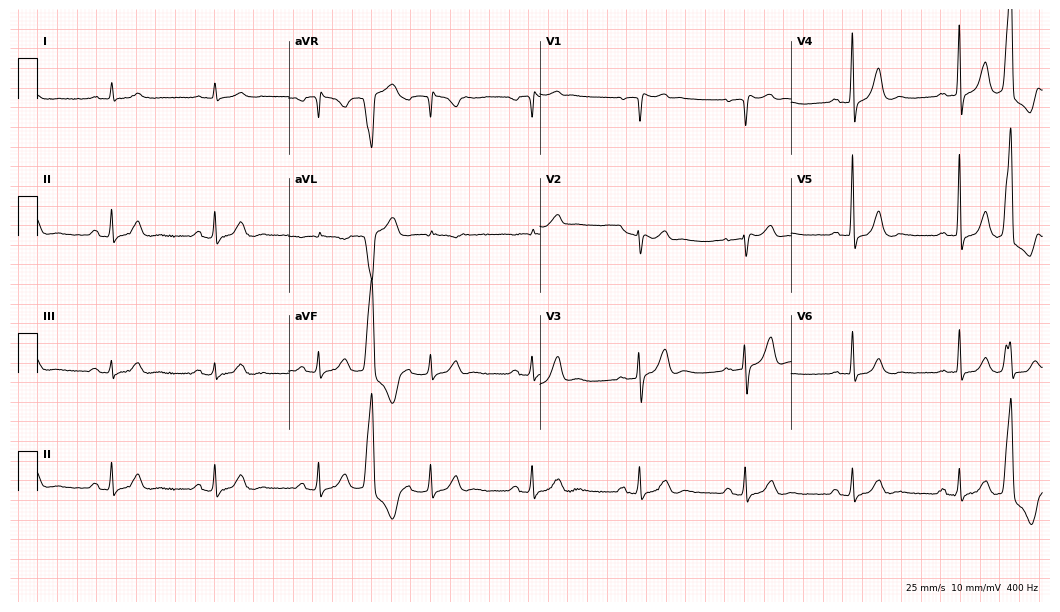
Standard 12-lead ECG recorded from a man, 75 years old. None of these six findings is recorded: first-degree AV block, right bundle branch block (RBBB), left bundle branch block (LBBB), sinus bradycardia, atrial fibrillation (AF), sinus tachycardia.